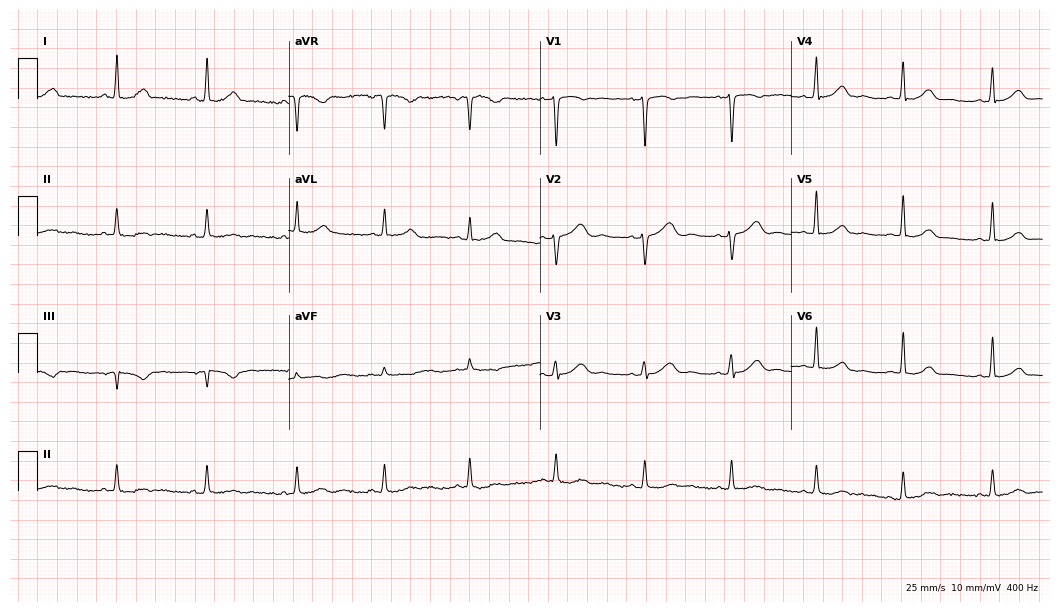
Electrocardiogram, a female, 44 years old. Overall reading on record: normal ECG.